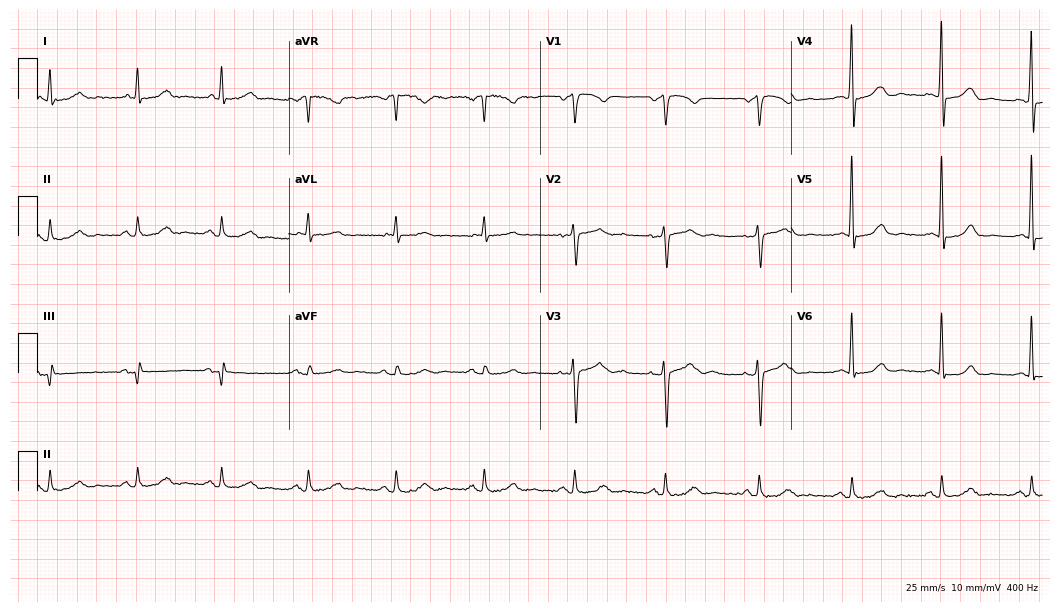
Standard 12-lead ECG recorded from a 67-year-old male. Read as a normal ECG.